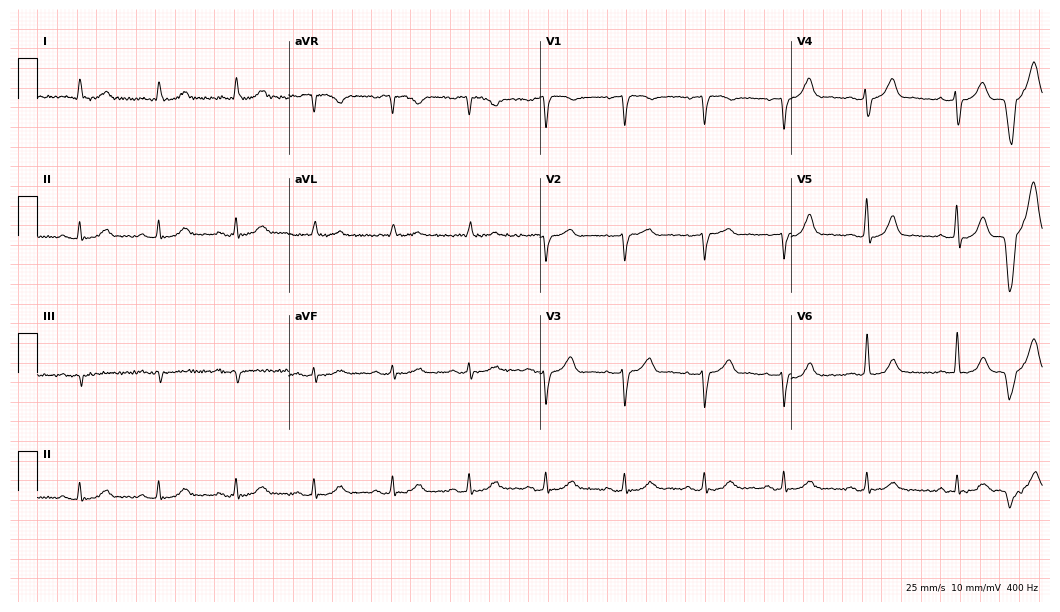
Resting 12-lead electrocardiogram. Patient: an 84-year-old man. Read as a normal ECG.